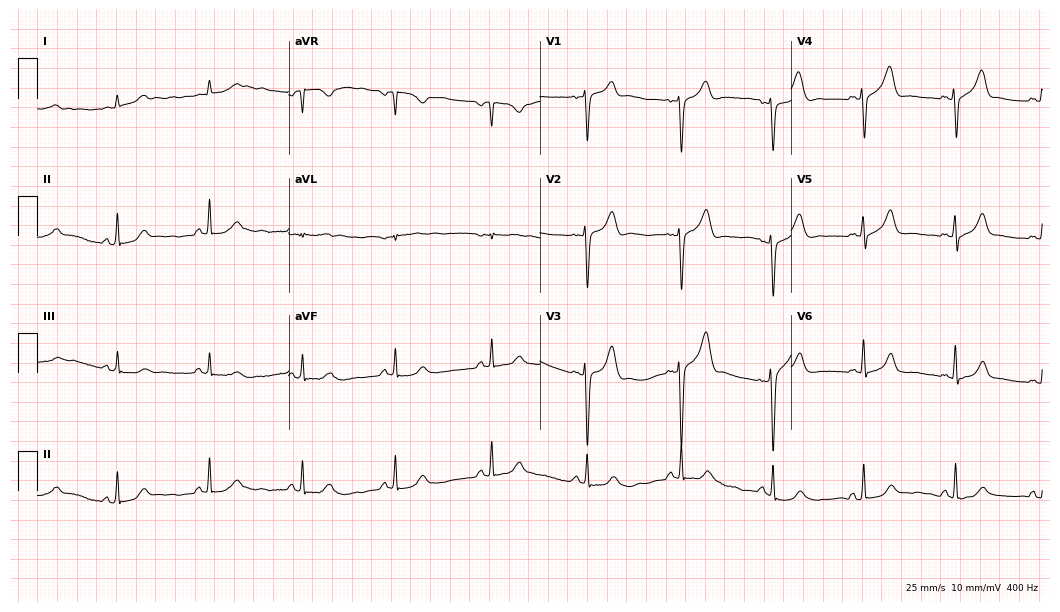
12-lead ECG (10.2-second recording at 400 Hz) from a 61-year-old man. Labelled as a normal ECG.